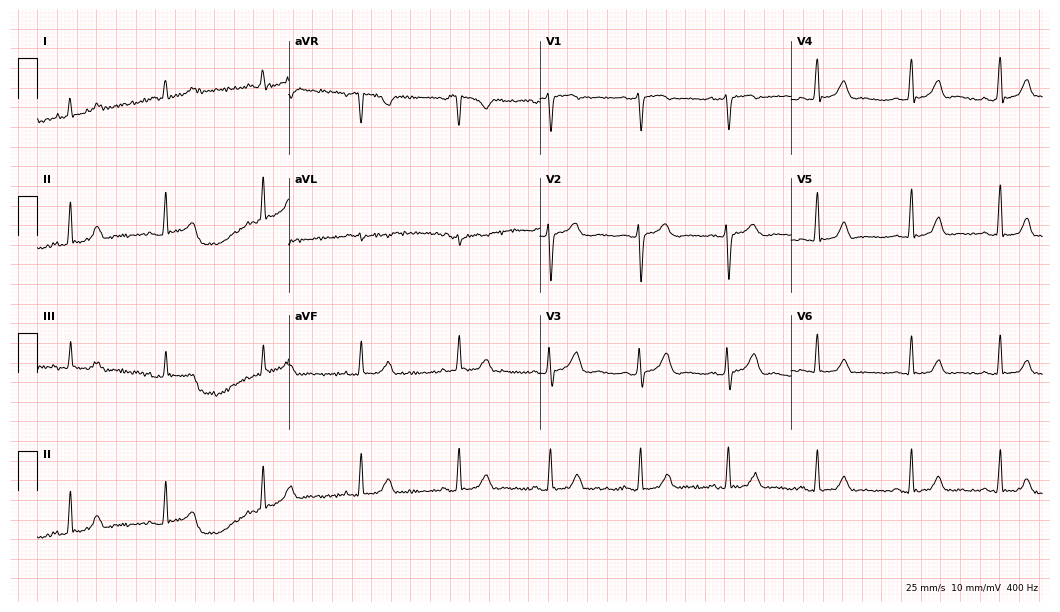
Standard 12-lead ECG recorded from a female patient, 43 years old (10.2-second recording at 400 Hz). Read as a normal ECG.